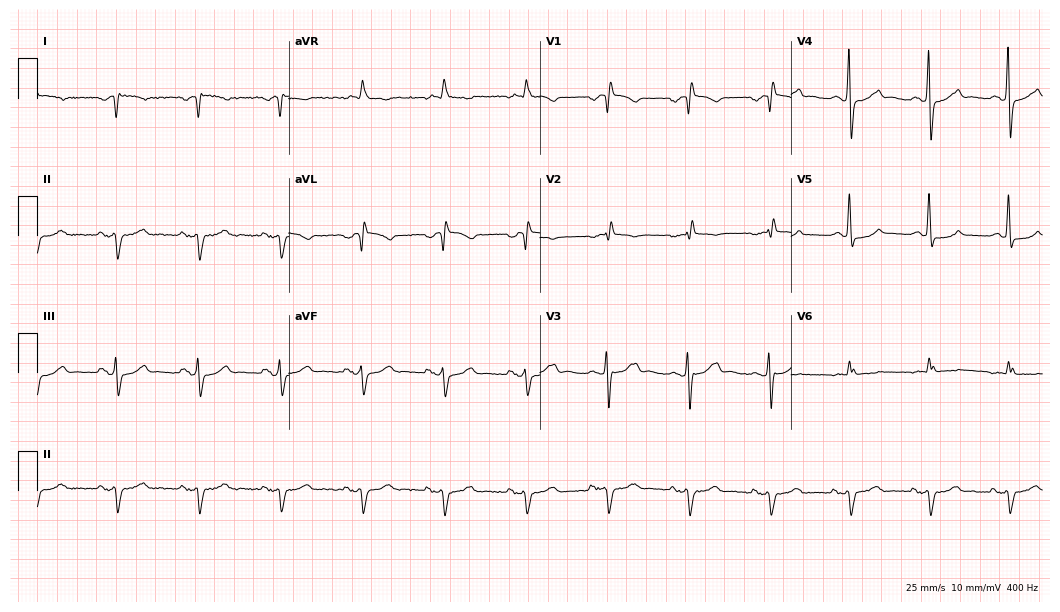
12-lead ECG from a male, 85 years old (10.2-second recording at 400 Hz). No first-degree AV block, right bundle branch block, left bundle branch block, sinus bradycardia, atrial fibrillation or sinus tachycardia recorded for this tracing. Findings outside these six are not listed.